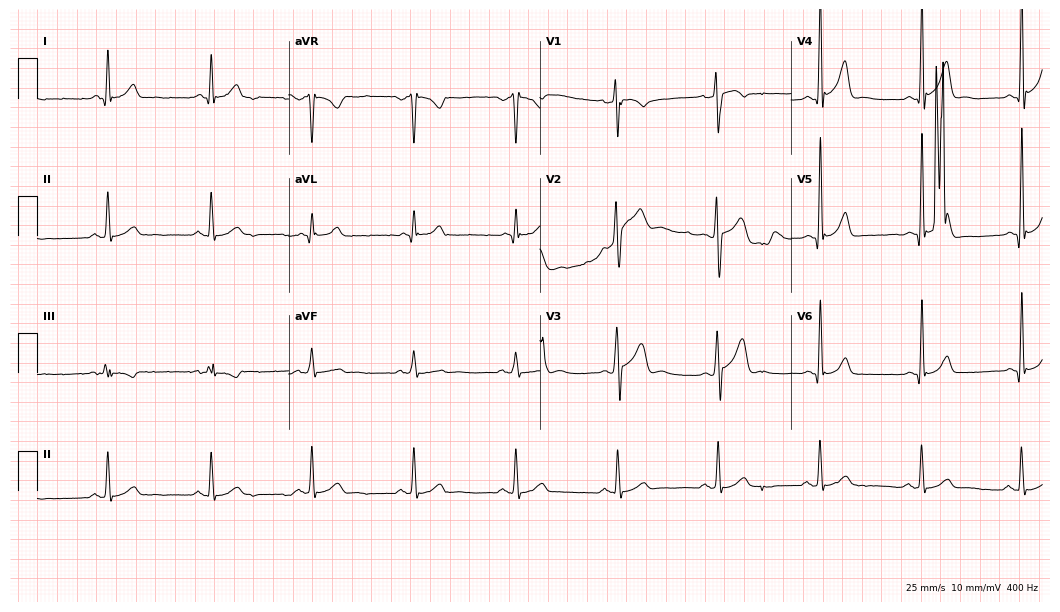
12-lead ECG from a male patient, 19 years old. Recorded interpretation: within normal limits.